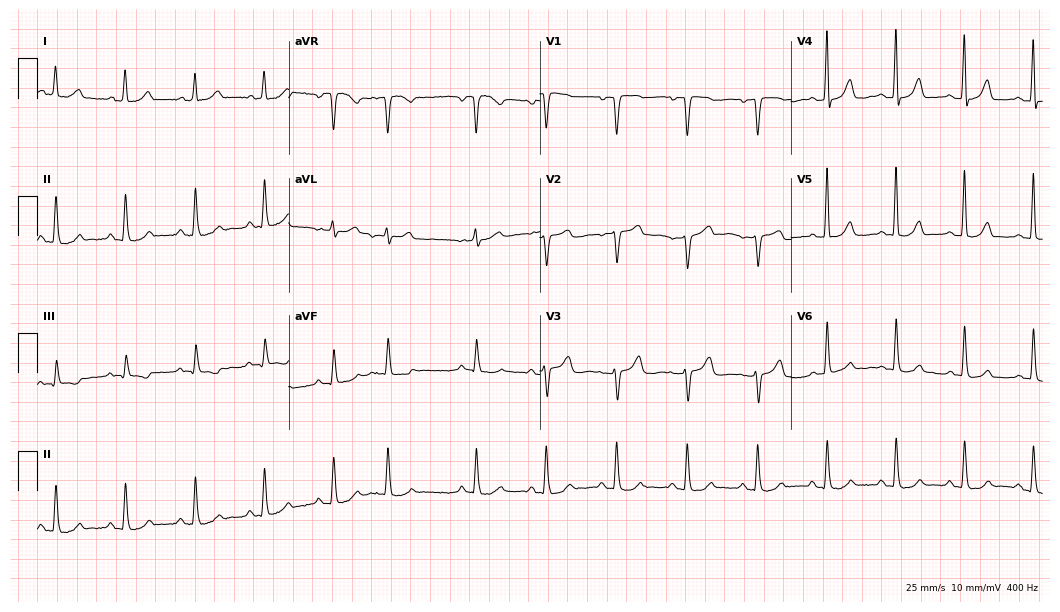
12-lead ECG from a woman, 76 years old. Screened for six findings — first-degree AV block, right bundle branch block, left bundle branch block, sinus bradycardia, atrial fibrillation, sinus tachycardia — none is recorded.